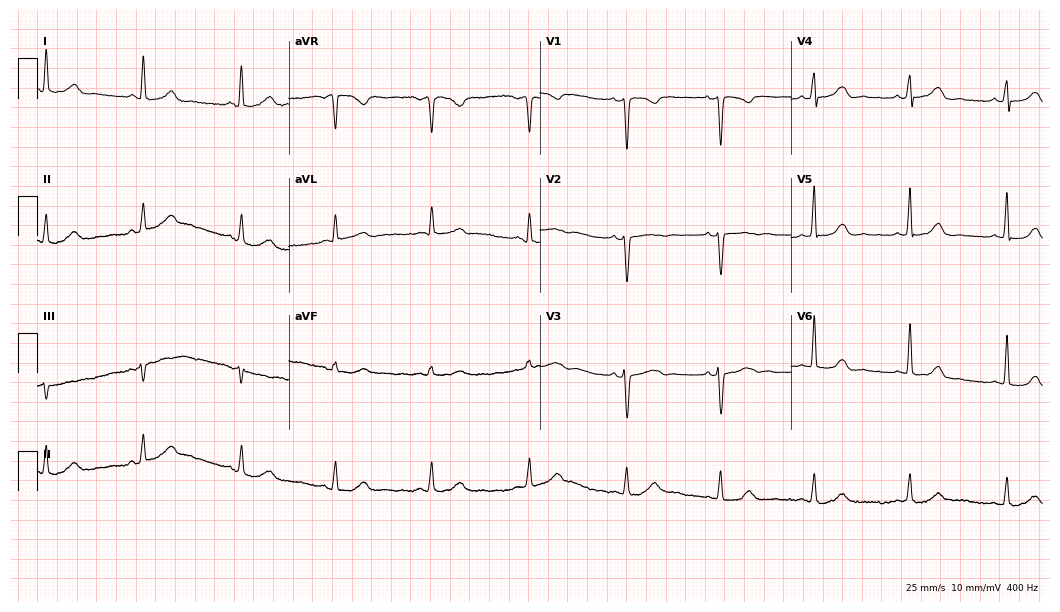
12-lead ECG from a female, 38 years old. Recorded interpretation: within normal limits.